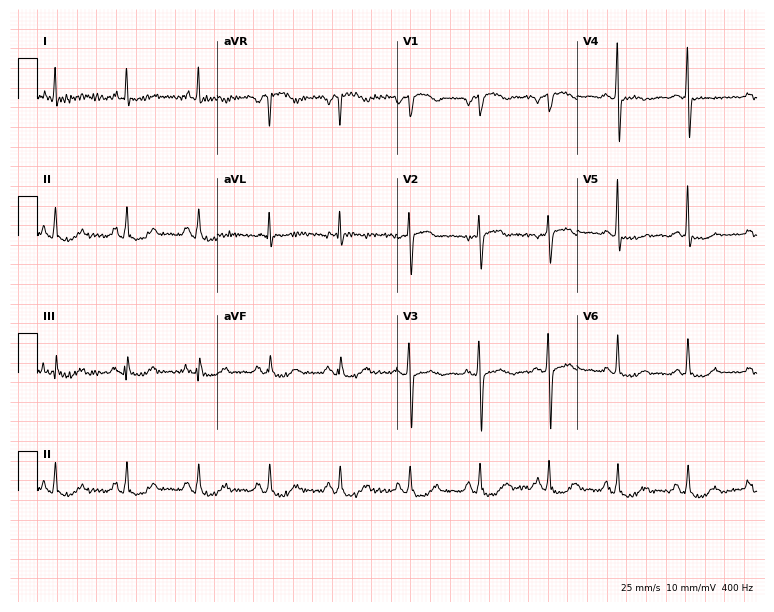
12-lead ECG from a 74-year-old male (7.3-second recording at 400 Hz). No first-degree AV block, right bundle branch block (RBBB), left bundle branch block (LBBB), sinus bradycardia, atrial fibrillation (AF) or sinus tachycardia recorded for this tracing. Other findings, if any, are not listed.